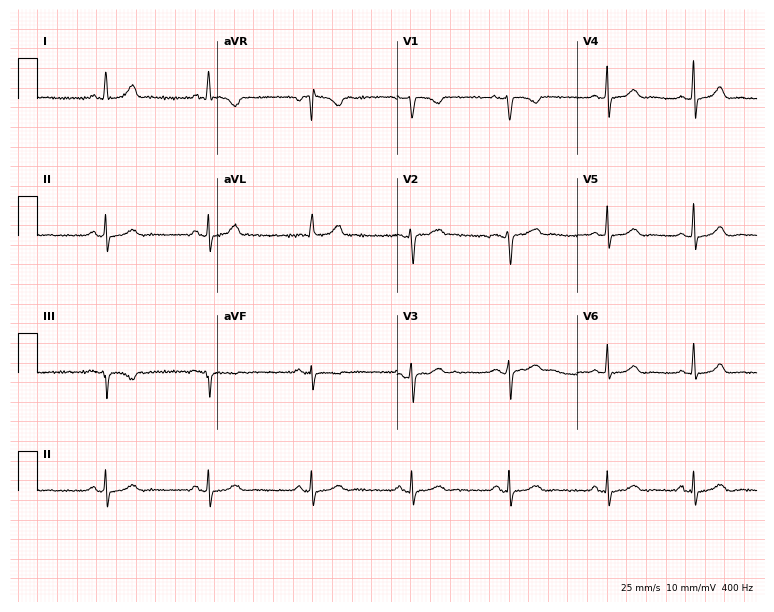
Standard 12-lead ECG recorded from a female patient, 36 years old (7.3-second recording at 400 Hz). None of these six findings is recorded: first-degree AV block, right bundle branch block, left bundle branch block, sinus bradycardia, atrial fibrillation, sinus tachycardia. Other findings, if any, are not listed.